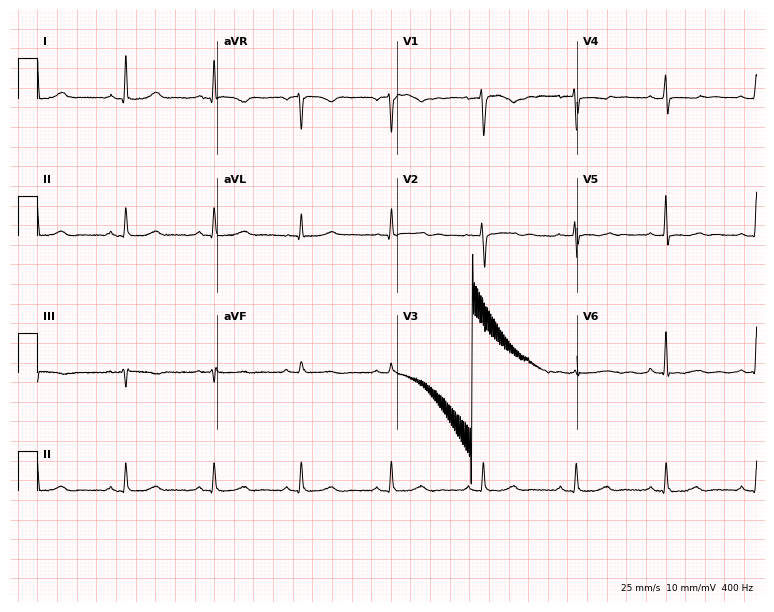
Resting 12-lead electrocardiogram (7.3-second recording at 400 Hz). Patient: a 50-year-old female. None of these six findings is recorded: first-degree AV block, right bundle branch block, left bundle branch block, sinus bradycardia, atrial fibrillation, sinus tachycardia. Findings outside these six are not listed.